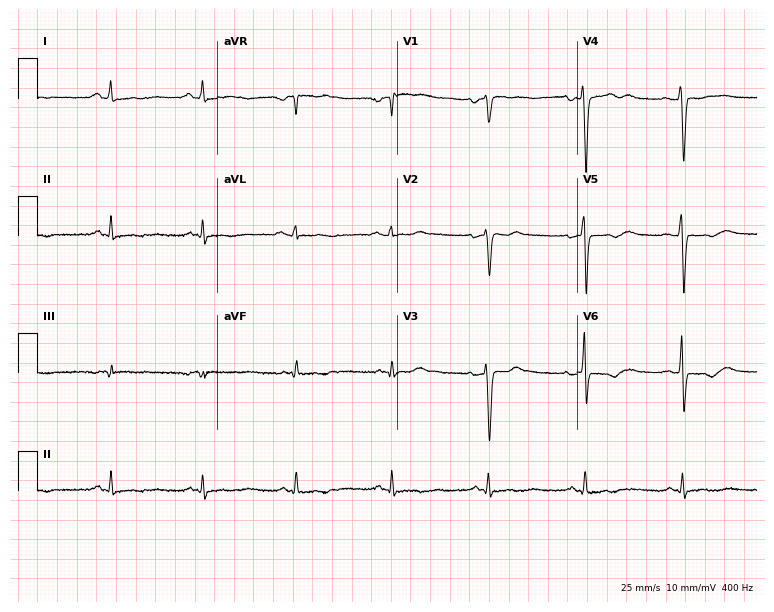
Electrocardiogram, a male patient, 62 years old. Of the six screened findings (first-degree AV block, right bundle branch block (RBBB), left bundle branch block (LBBB), sinus bradycardia, atrial fibrillation (AF), sinus tachycardia), none is recorded.